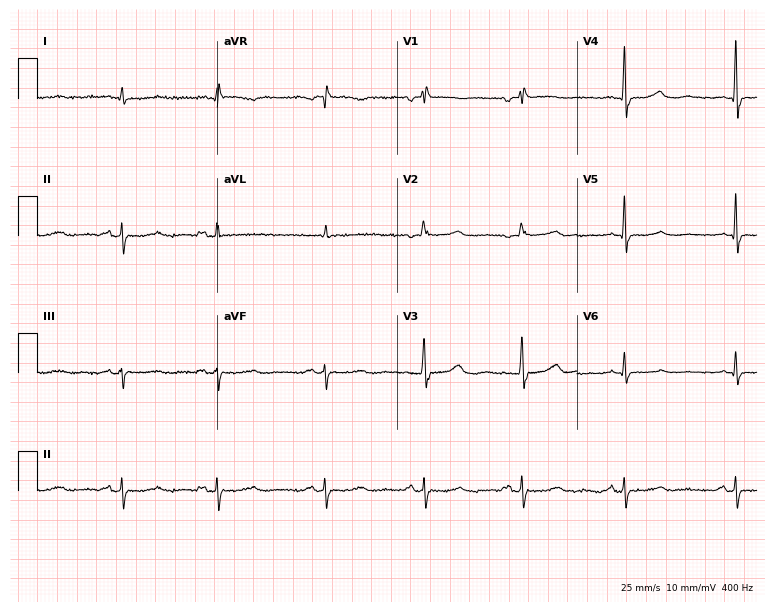
12-lead ECG from a 68-year-old male (7.3-second recording at 400 Hz). No first-degree AV block, right bundle branch block (RBBB), left bundle branch block (LBBB), sinus bradycardia, atrial fibrillation (AF) or sinus tachycardia recorded for this tracing.